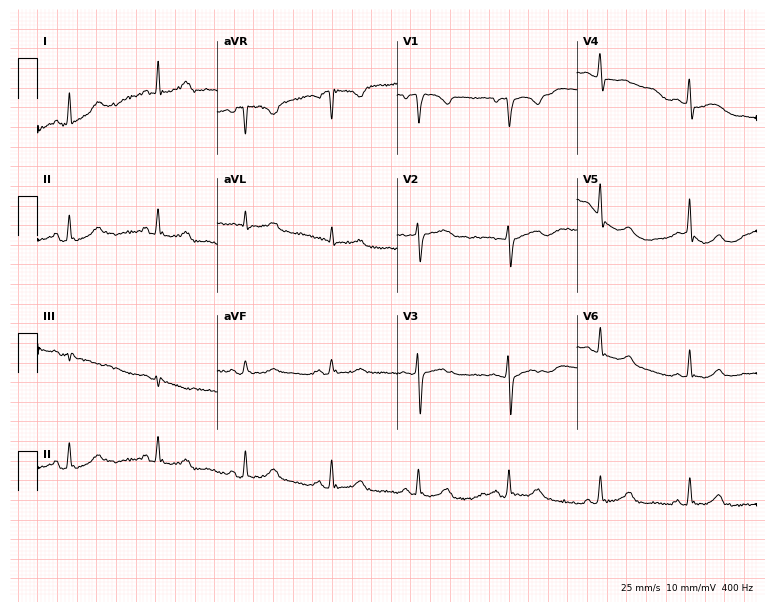
Standard 12-lead ECG recorded from a 53-year-old female. None of these six findings is recorded: first-degree AV block, right bundle branch block, left bundle branch block, sinus bradycardia, atrial fibrillation, sinus tachycardia. Only these six findings were labelled.